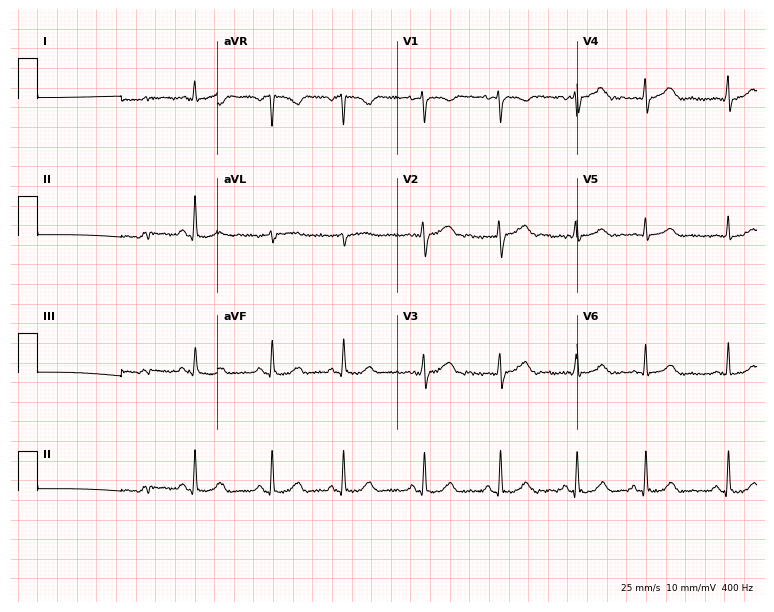
ECG — a 40-year-old female. Screened for six findings — first-degree AV block, right bundle branch block, left bundle branch block, sinus bradycardia, atrial fibrillation, sinus tachycardia — none is recorded. Only these six findings were labelled.